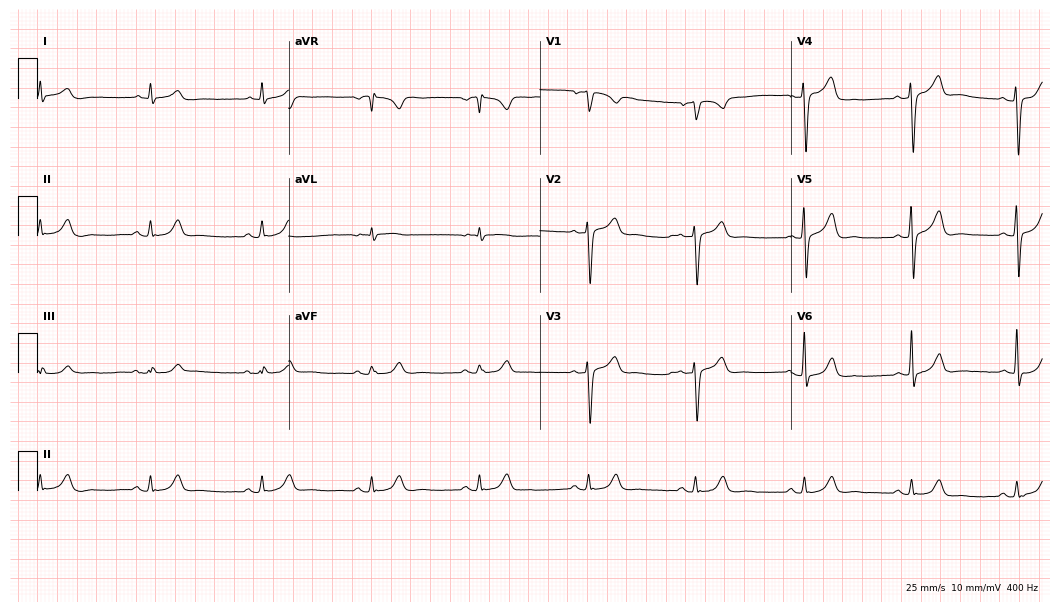
Electrocardiogram (10.2-second recording at 400 Hz), a male, 63 years old. Overall reading on record: normal ECG.